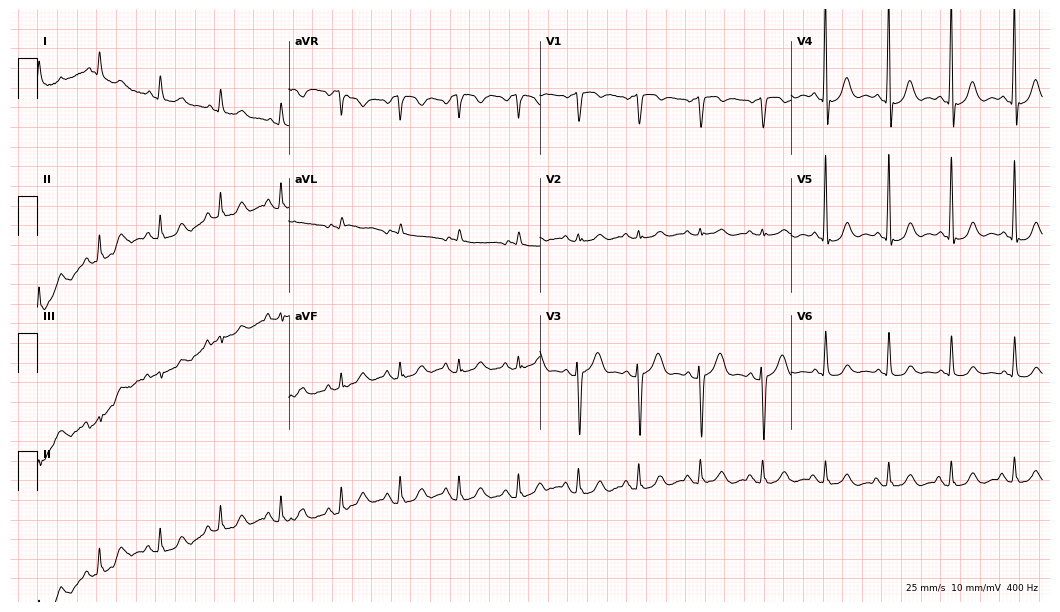
Electrocardiogram (10.2-second recording at 400 Hz), a 65-year-old male patient. Overall reading on record: normal ECG.